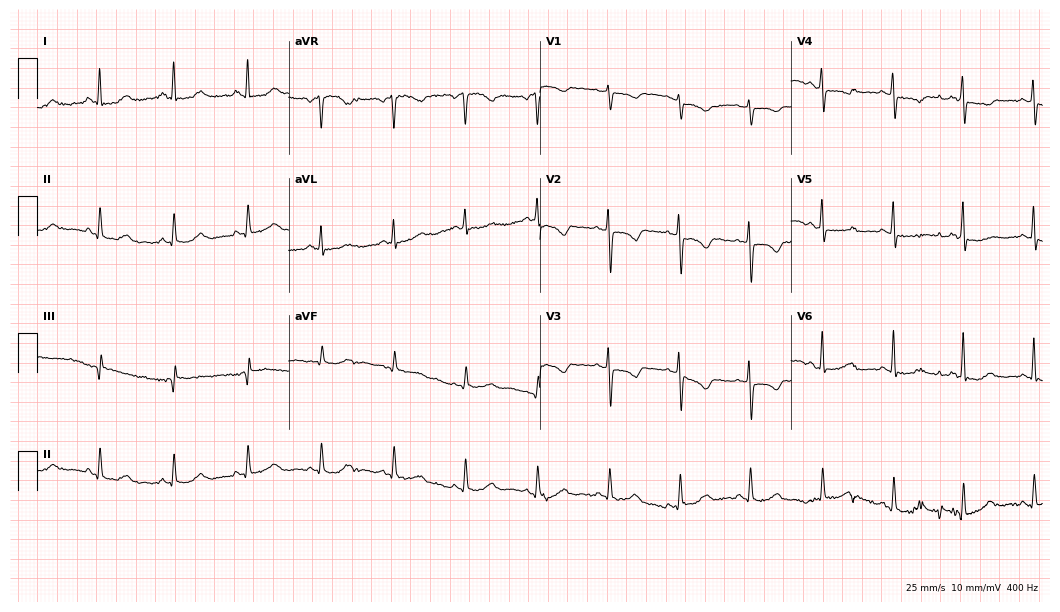
Resting 12-lead electrocardiogram. Patient: a 53-year-old female. Read as a normal ECG.